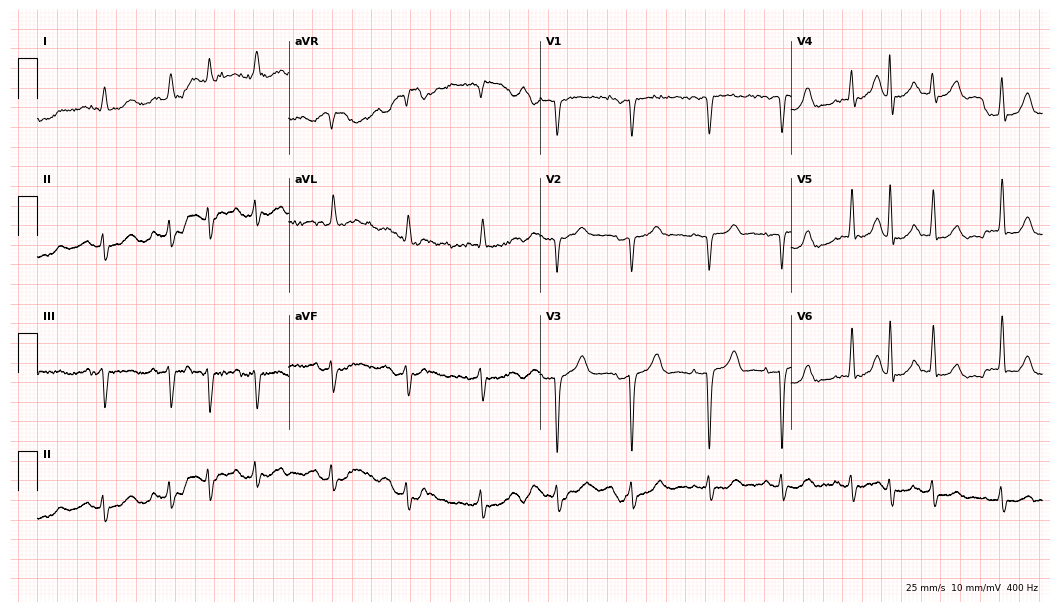
12-lead ECG from an 83-year-old female patient (10.2-second recording at 400 Hz). No first-degree AV block, right bundle branch block, left bundle branch block, sinus bradycardia, atrial fibrillation or sinus tachycardia recorded for this tracing.